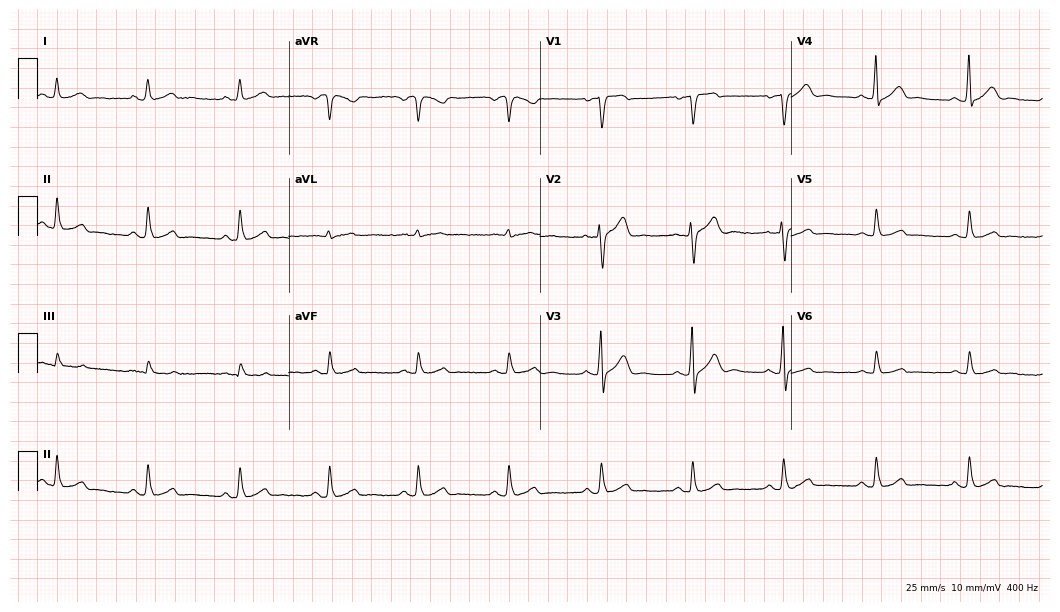
12-lead ECG from a male, 51 years old (10.2-second recording at 400 Hz). No first-degree AV block, right bundle branch block (RBBB), left bundle branch block (LBBB), sinus bradycardia, atrial fibrillation (AF) or sinus tachycardia recorded for this tracing.